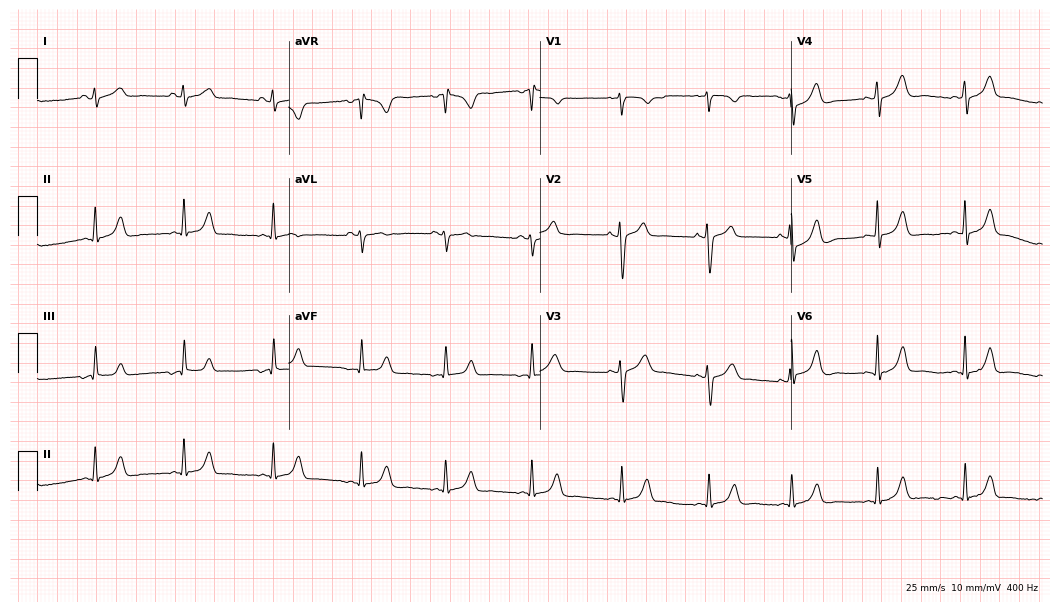
Electrocardiogram, a 28-year-old female. Overall reading on record: normal ECG.